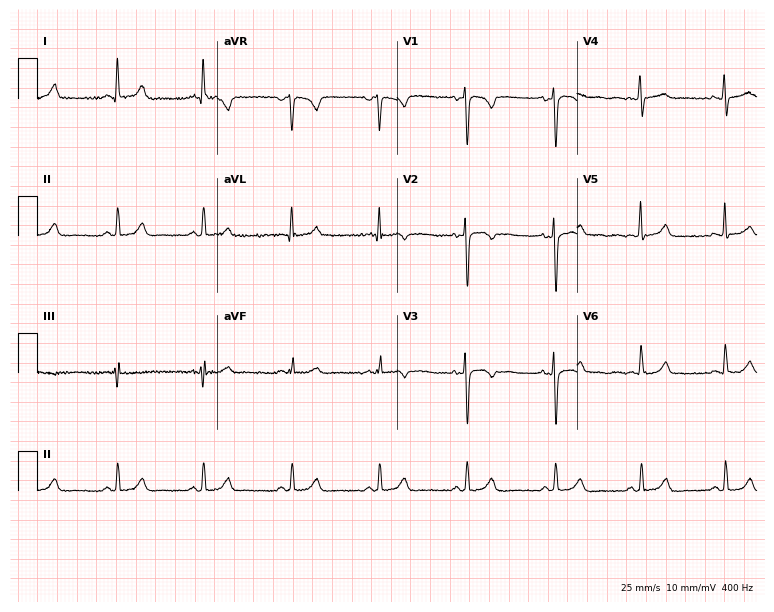
Resting 12-lead electrocardiogram (7.3-second recording at 400 Hz). Patient: a 41-year-old female. None of these six findings is recorded: first-degree AV block, right bundle branch block, left bundle branch block, sinus bradycardia, atrial fibrillation, sinus tachycardia. Other findings, if any, are not listed.